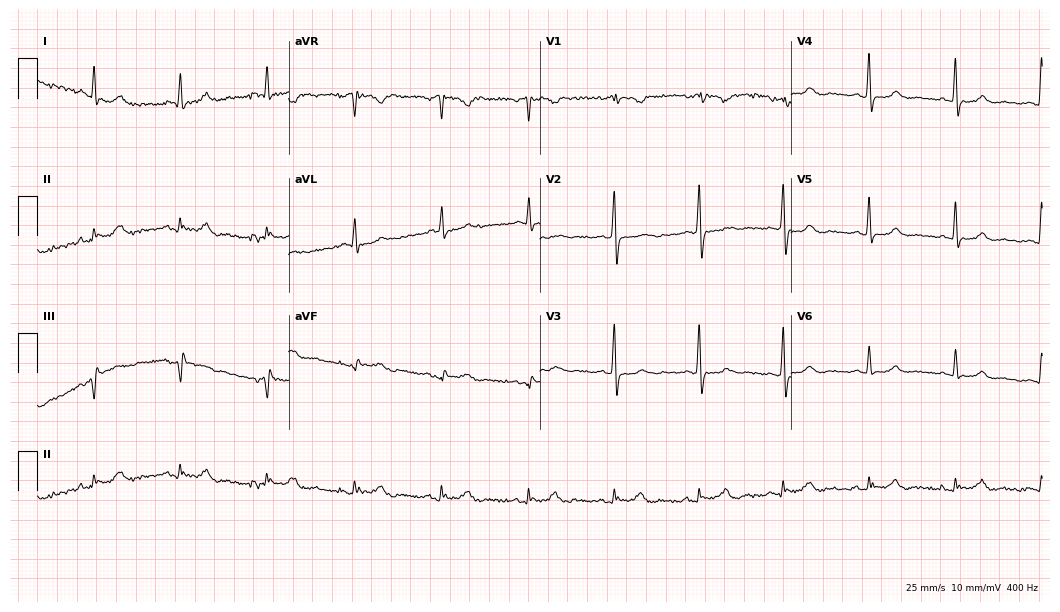
Resting 12-lead electrocardiogram. Patient: a female, 75 years old. None of these six findings is recorded: first-degree AV block, right bundle branch block (RBBB), left bundle branch block (LBBB), sinus bradycardia, atrial fibrillation (AF), sinus tachycardia. Findings outside these six are not listed.